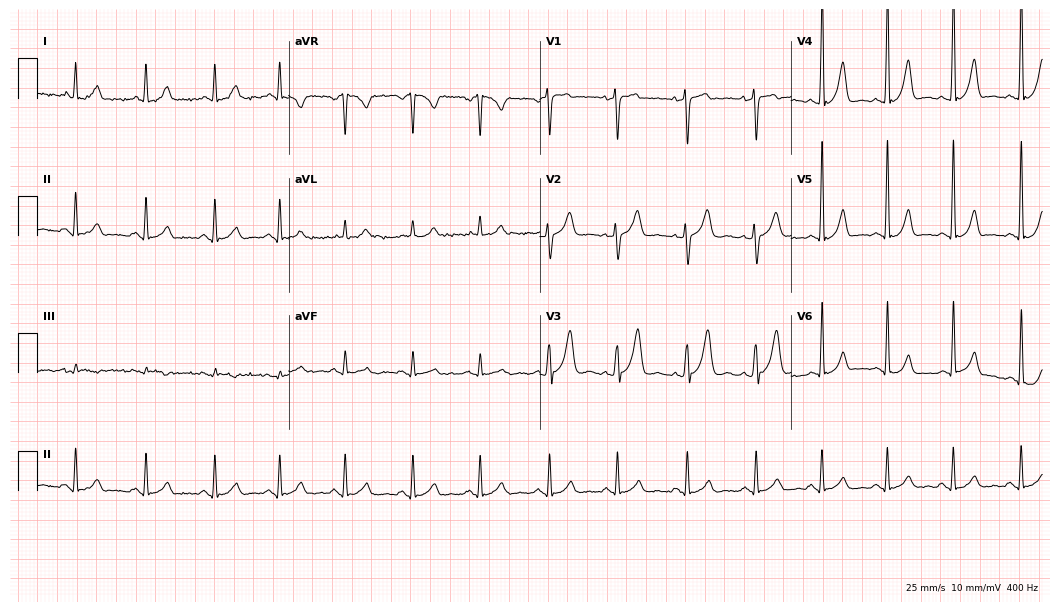
12-lead ECG (10.2-second recording at 400 Hz) from a male patient, 25 years old. Labelled as a normal ECG.